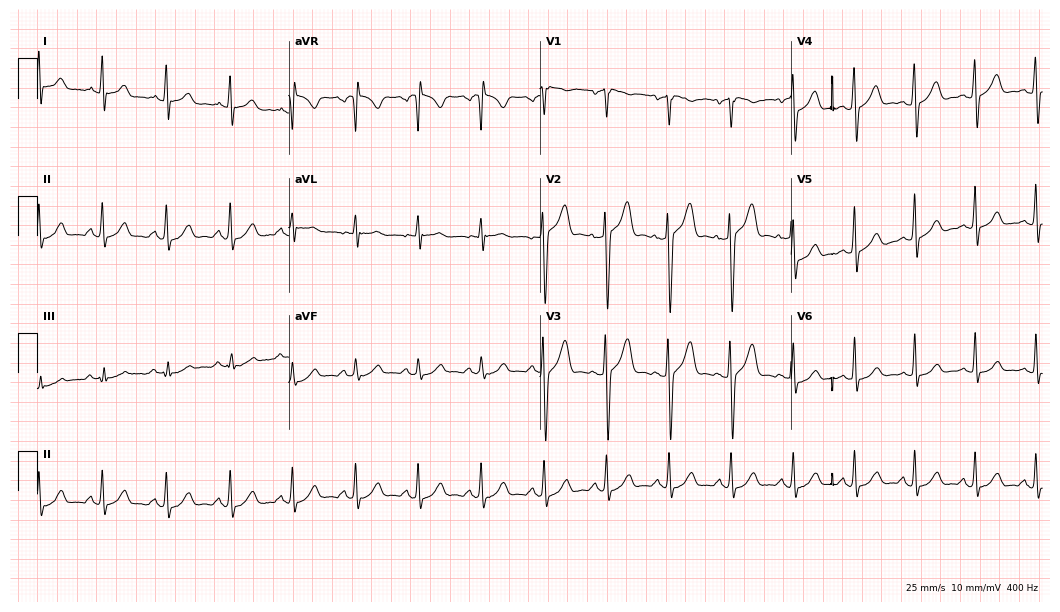
Electrocardiogram (10.2-second recording at 400 Hz), a male patient, 26 years old. Overall reading on record: normal ECG.